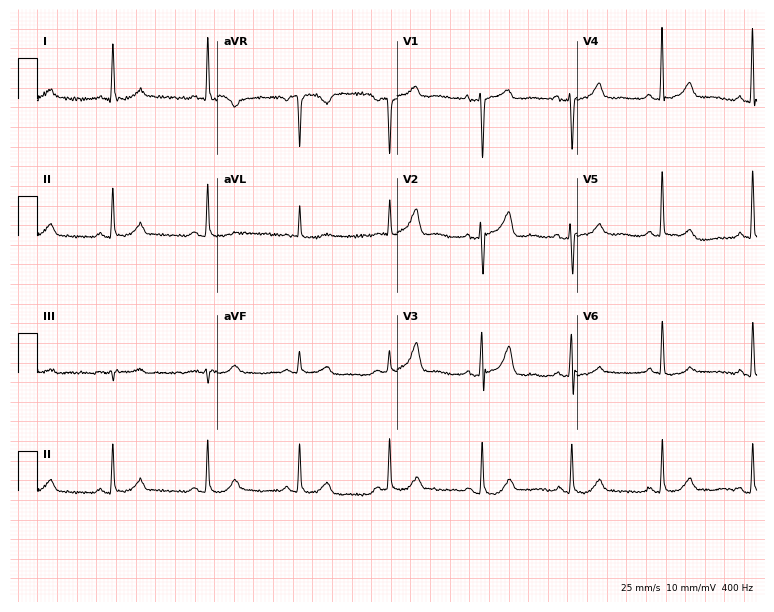
12-lead ECG from a woman, 52 years old (7.3-second recording at 400 Hz). No first-degree AV block, right bundle branch block (RBBB), left bundle branch block (LBBB), sinus bradycardia, atrial fibrillation (AF) or sinus tachycardia recorded for this tracing. Findings outside these six are not listed.